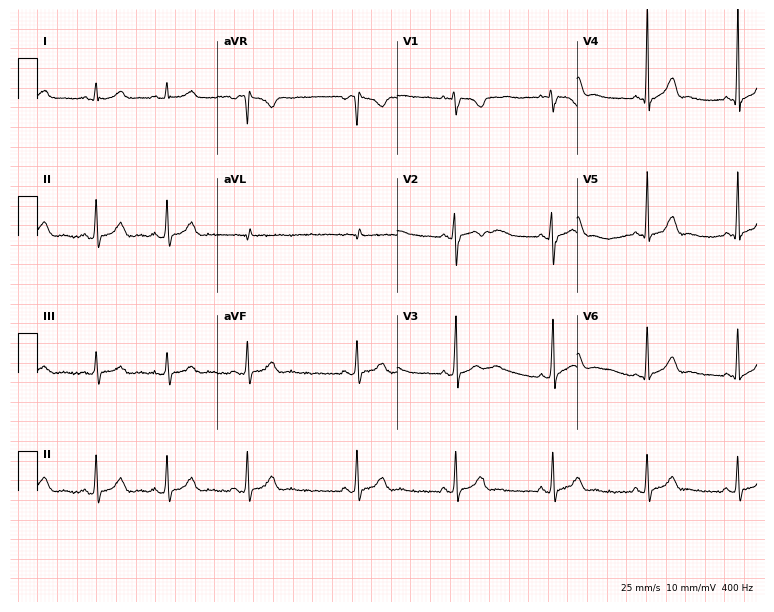
Standard 12-lead ECG recorded from a woman, 22 years old. Read as a normal ECG.